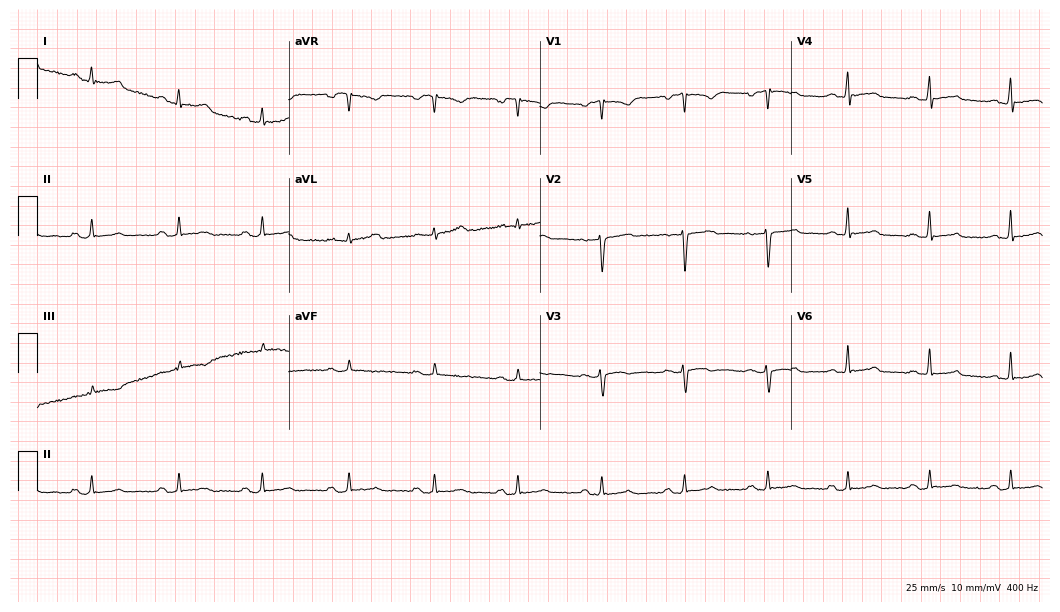
Electrocardiogram, a 31-year-old female. Of the six screened findings (first-degree AV block, right bundle branch block, left bundle branch block, sinus bradycardia, atrial fibrillation, sinus tachycardia), none is recorded. Other findings, if any, are not listed.